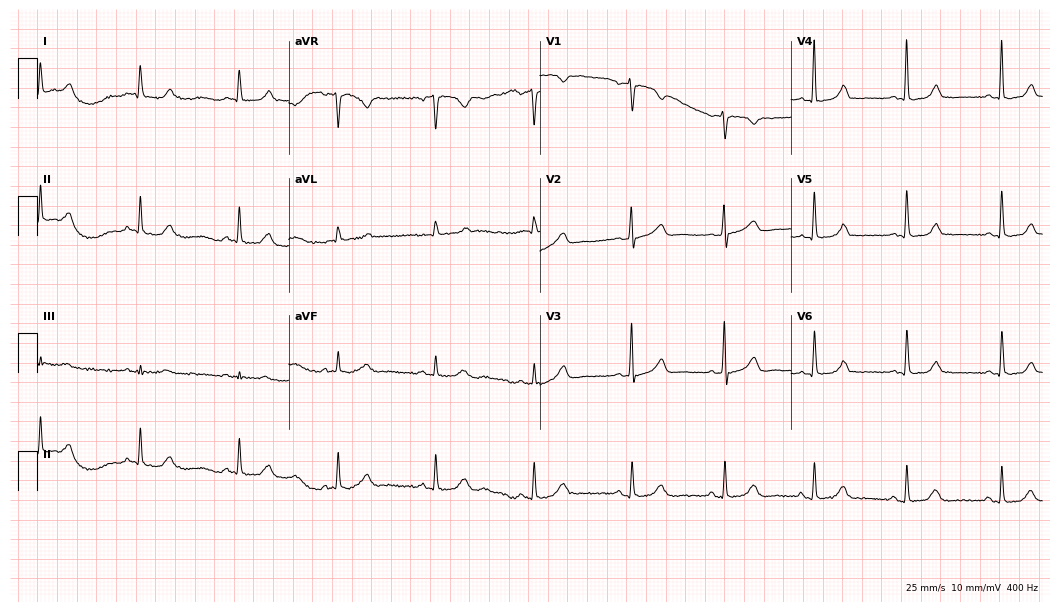
Standard 12-lead ECG recorded from a 63-year-old female. Read as a normal ECG.